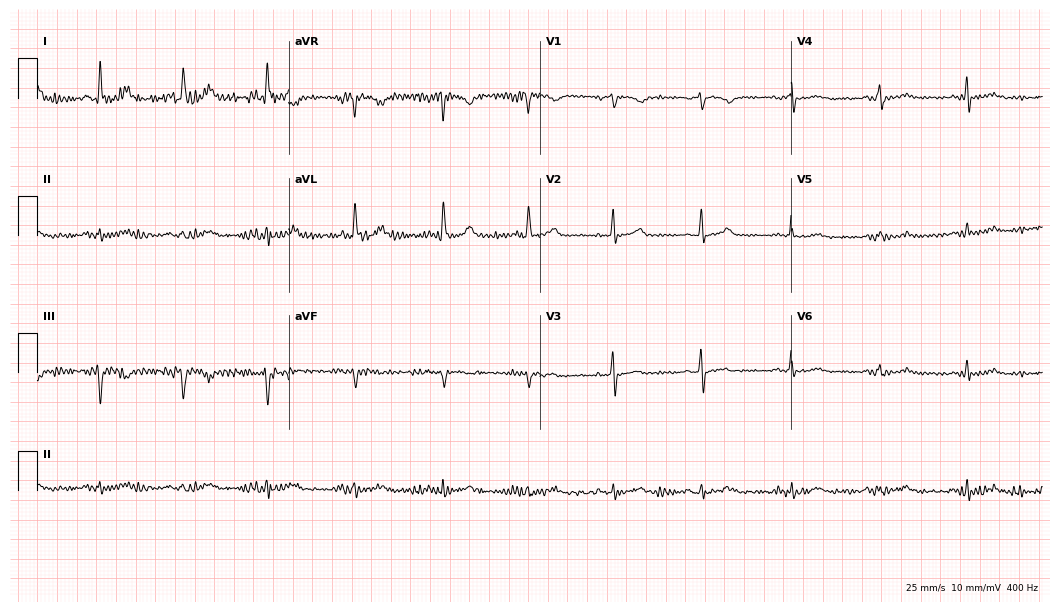
ECG — a woman, 60 years old. Labelled as a normal ECG.